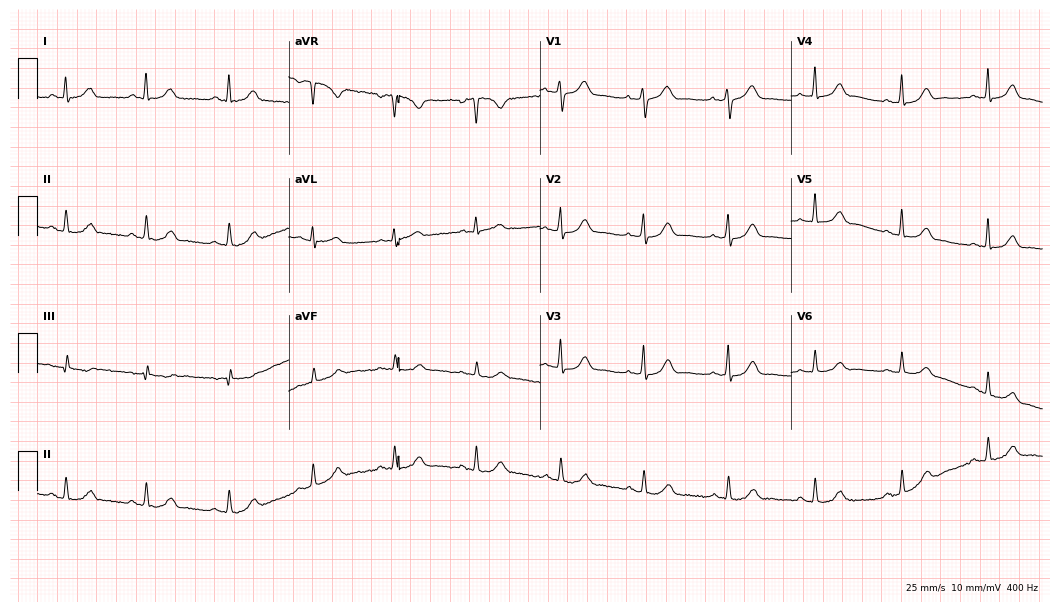
Resting 12-lead electrocardiogram (10.2-second recording at 400 Hz). Patient: a 56-year-old female. Read as a normal ECG.